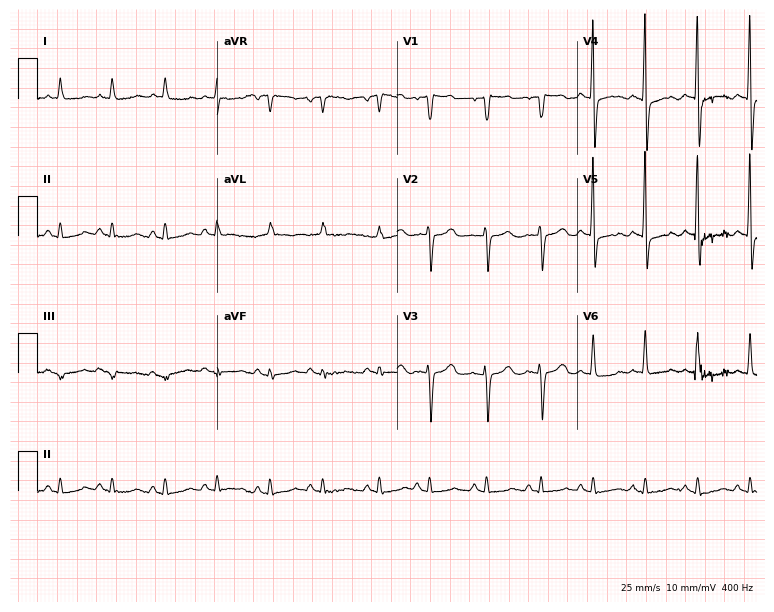
Electrocardiogram, an 85-year-old female patient. Of the six screened findings (first-degree AV block, right bundle branch block, left bundle branch block, sinus bradycardia, atrial fibrillation, sinus tachycardia), none is recorded. Only these six findings were labelled.